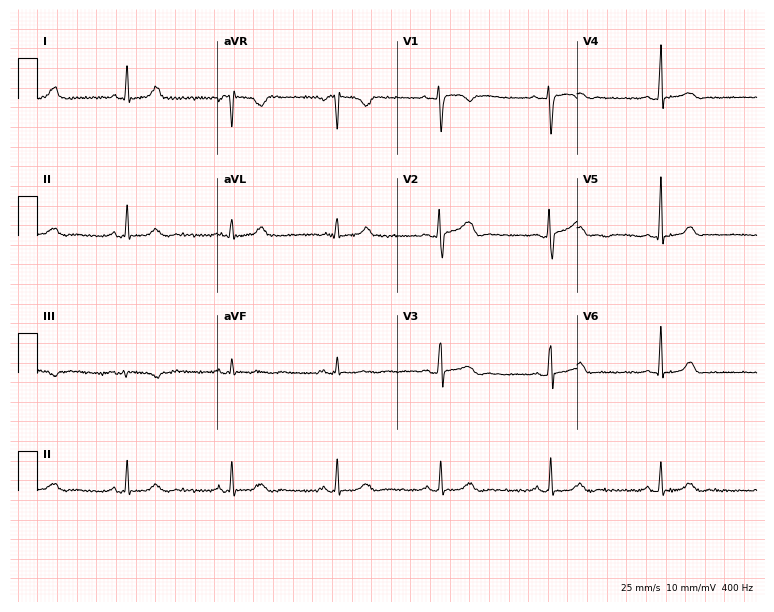
Resting 12-lead electrocardiogram. Patient: a 20-year-old female. Read as a normal ECG.